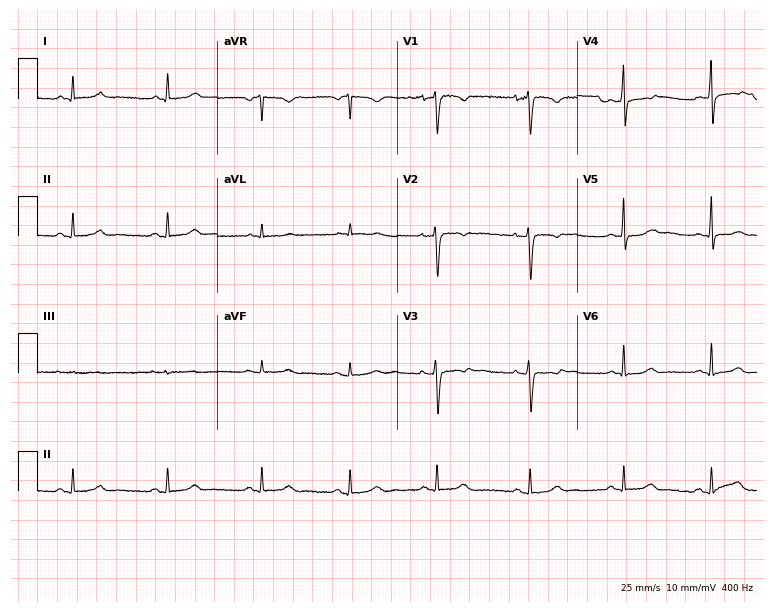
12-lead ECG from a 22-year-old female. Recorded interpretation: within normal limits.